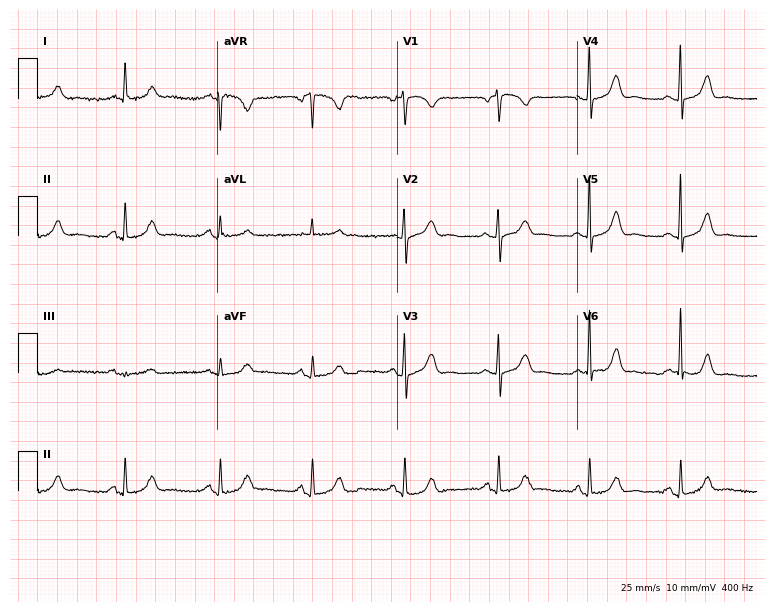
12-lead ECG from a female, 84 years old. Recorded interpretation: within normal limits.